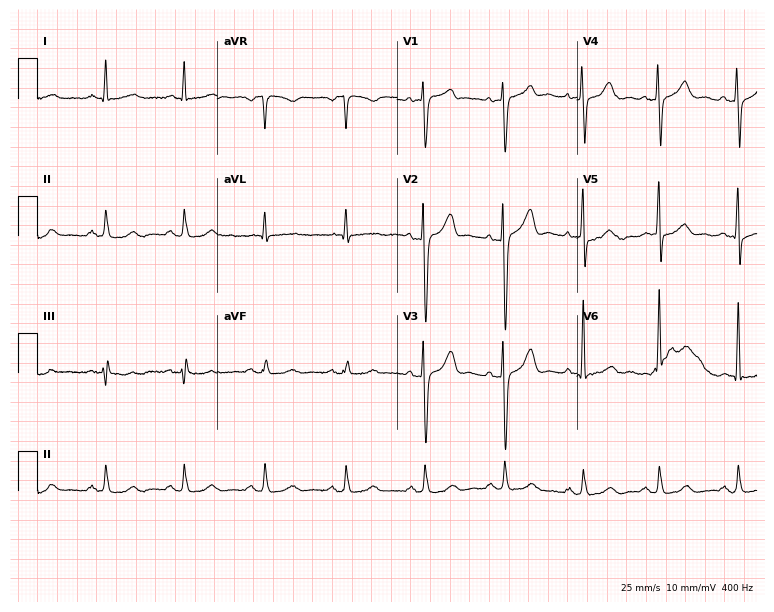
12-lead ECG (7.3-second recording at 400 Hz) from a 53-year-old male. Screened for six findings — first-degree AV block, right bundle branch block, left bundle branch block, sinus bradycardia, atrial fibrillation, sinus tachycardia — none is recorded. Other findings, if any, are not listed.